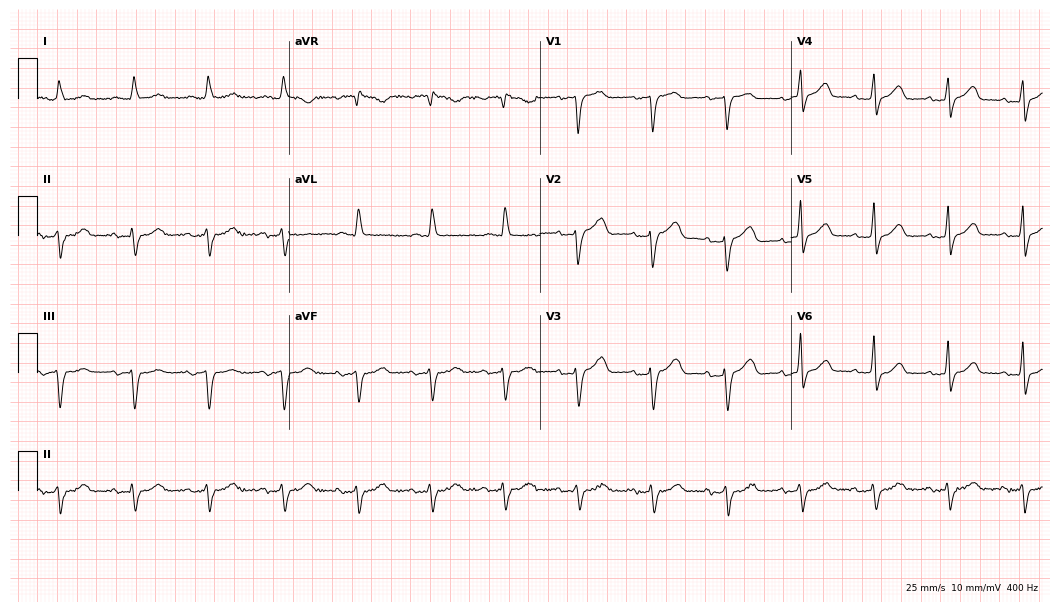
Electrocardiogram (10.2-second recording at 400 Hz), an 85-year-old female patient. Of the six screened findings (first-degree AV block, right bundle branch block (RBBB), left bundle branch block (LBBB), sinus bradycardia, atrial fibrillation (AF), sinus tachycardia), none is recorded. Findings outside these six are not listed.